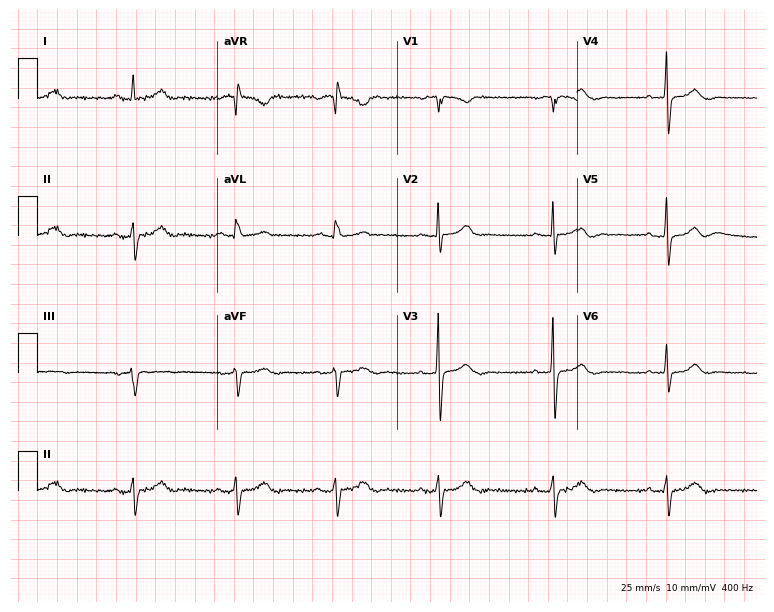
Standard 12-lead ECG recorded from a 43-year-old woman (7.3-second recording at 400 Hz). None of these six findings is recorded: first-degree AV block, right bundle branch block, left bundle branch block, sinus bradycardia, atrial fibrillation, sinus tachycardia.